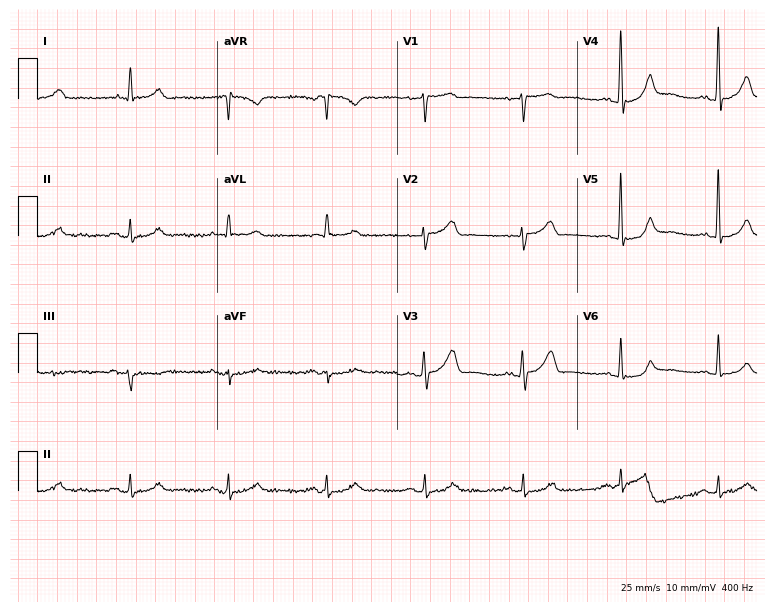
Electrocardiogram (7.3-second recording at 400 Hz), a man, 63 years old. Overall reading on record: normal ECG.